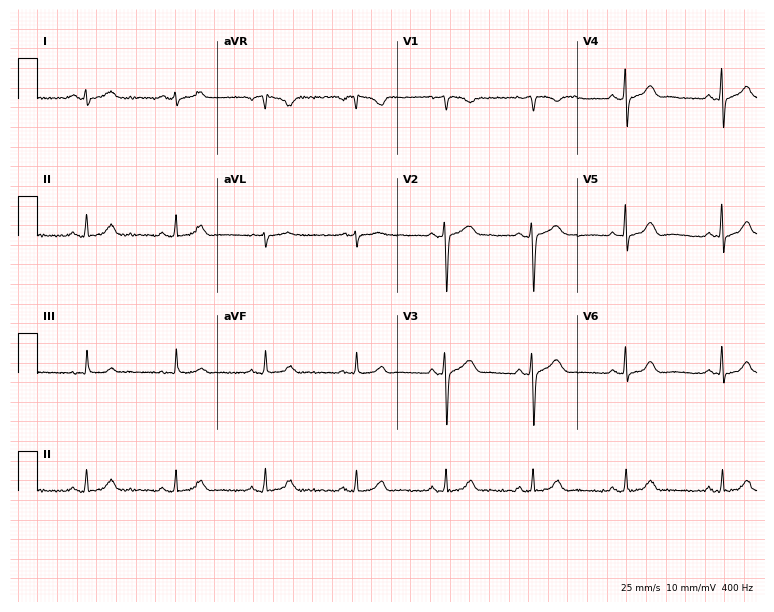
12-lead ECG from a 33-year-old woman (7.3-second recording at 400 Hz). Recorded interpretation: within normal limits.